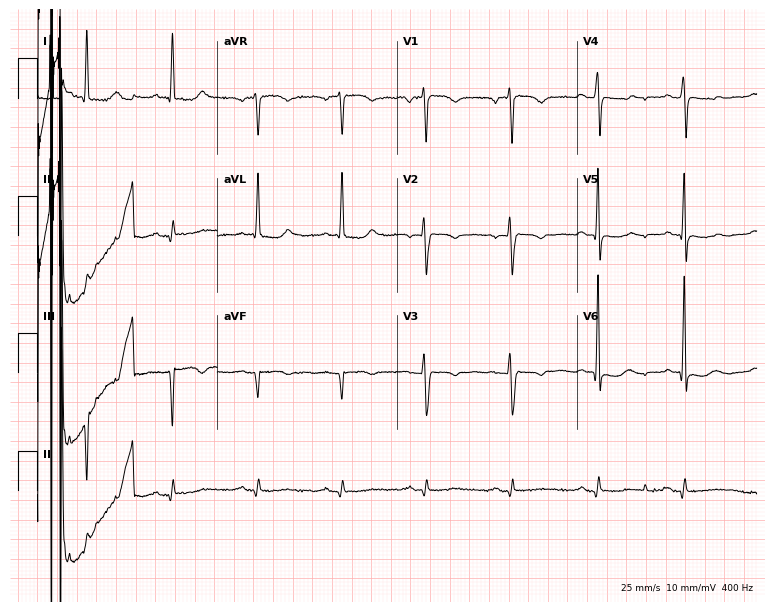
Electrocardiogram (7.3-second recording at 400 Hz), an 84-year-old woman. Of the six screened findings (first-degree AV block, right bundle branch block, left bundle branch block, sinus bradycardia, atrial fibrillation, sinus tachycardia), none is recorded.